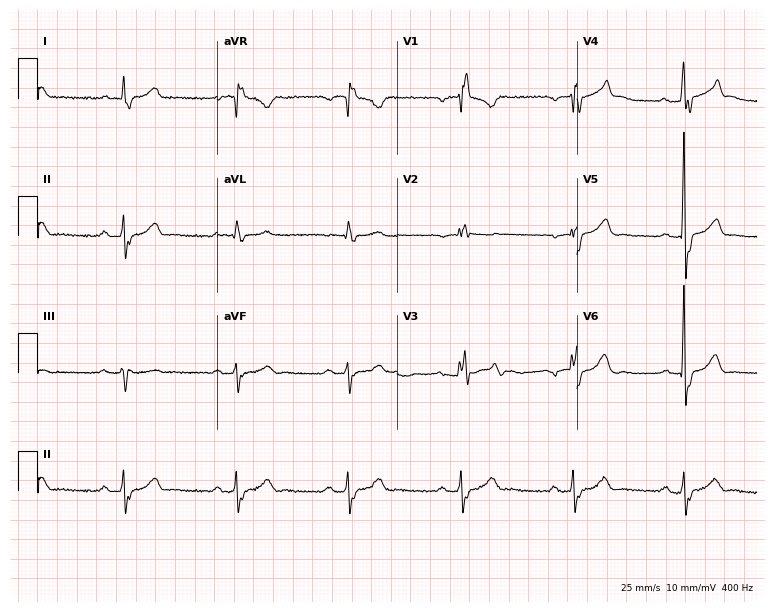
Resting 12-lead electrocardiogram (7.3-second recording at 400 Hz). Patient: a man, 57 years old. The tracing shows right bundle branch block.